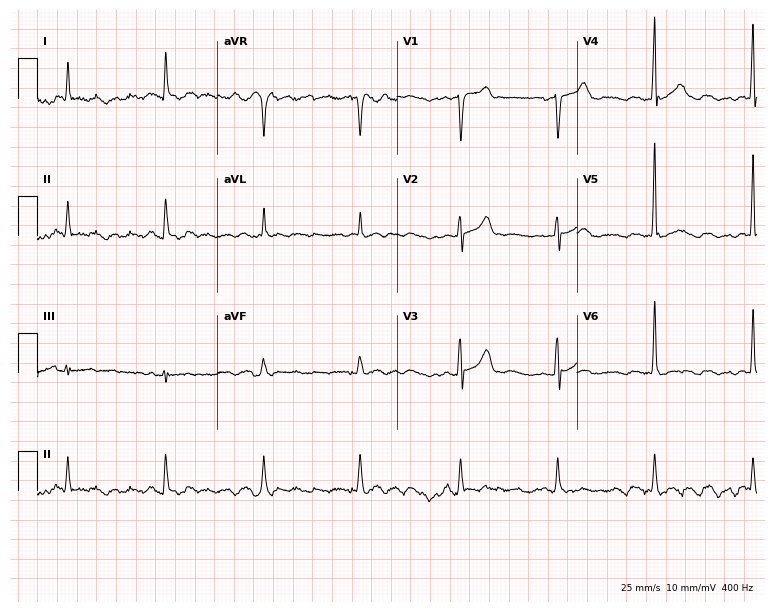
12-lead ECG from a male, 70 years old. No first-degree AV block, right bundle branch block, left bundle branch block, sinus bradycardia, atrial fibrillation or sinus tachycardia recorded for this tracing. Findings outside these six are not listed.